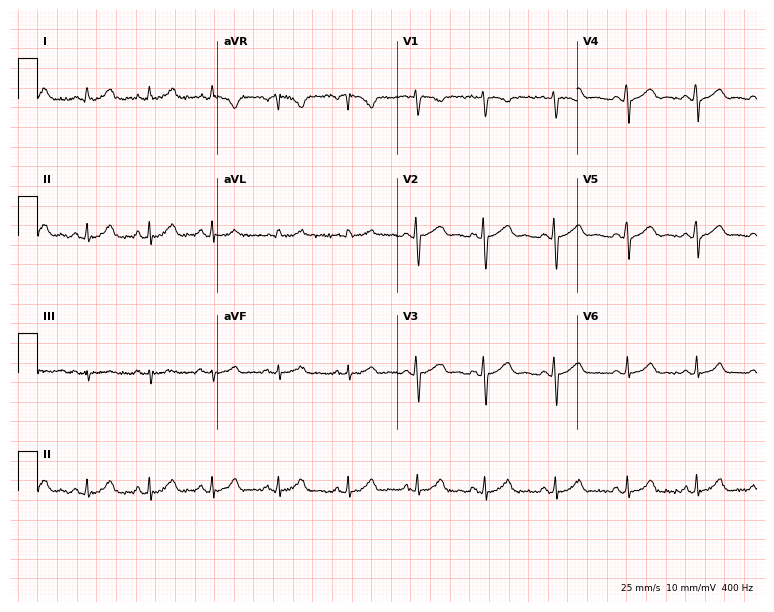
ECG — a 24-year-old female patient. Labelled as a normal ECG.